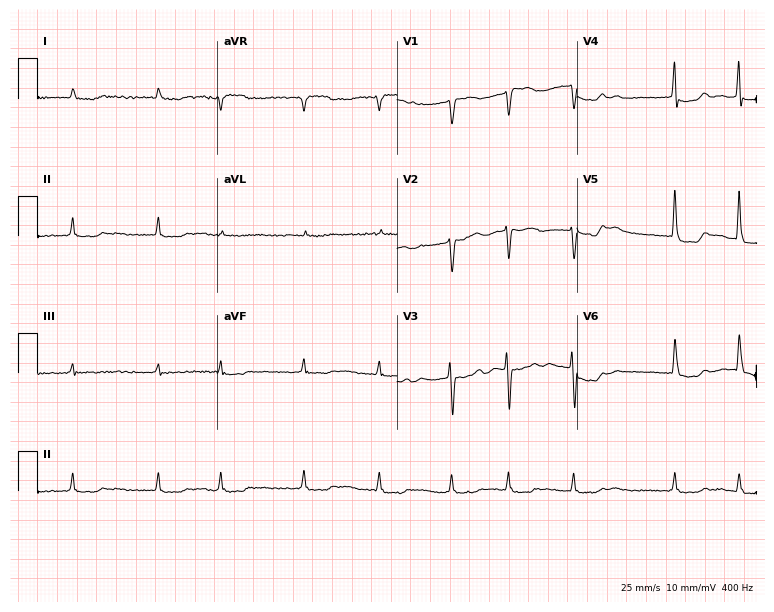
Resting 12-lead electrocardiogram. Patient: a female, 75 years old. None of these six findings is recorded: first-degree AV block, right bundle branch block, left bundle branch block, sinus bradycardia, atrial fibrillation, sinus tachycardia.